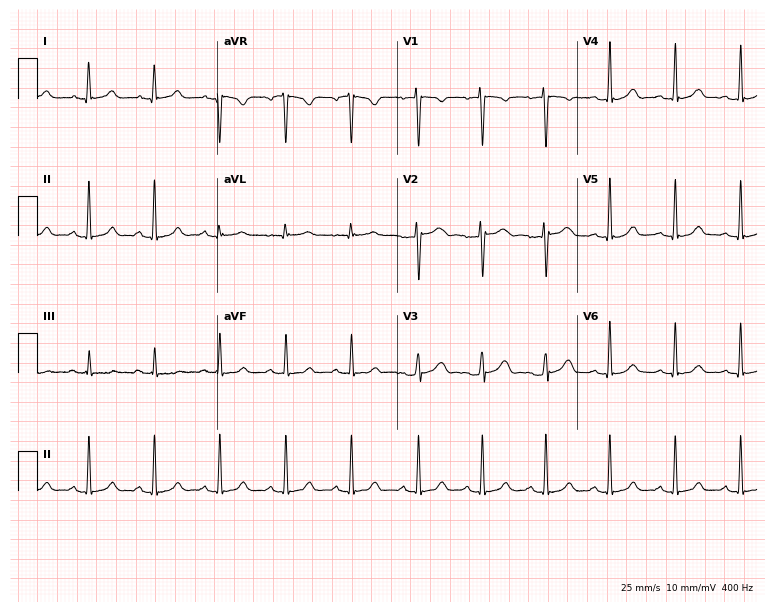
12-lead ECG (7.3-second recording at 400 Hz) from a 22-year-old female patient. Labelled as a normal ECG.